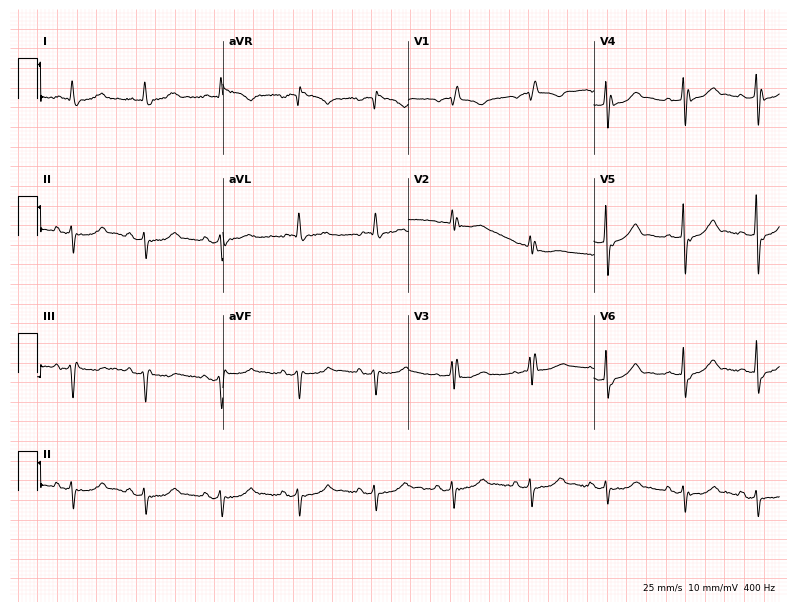
Electrocardiogram, a female, 85 years old. Of the six screened findings (first-degree AV block, right bundle branch block, left bundle branch block, sinus bradycardia, atrial fibrillation, sinus tachycardia), none is recorded. Other findings, if any, are not listed.